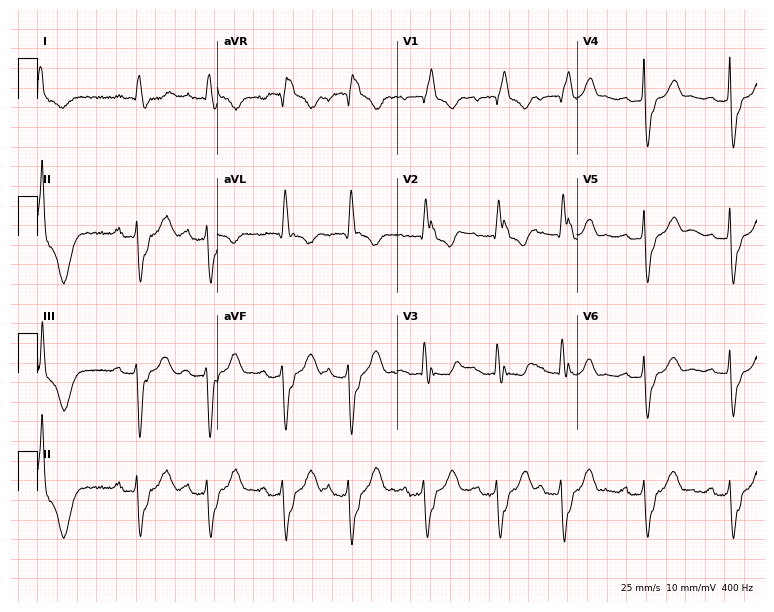
12-lead ECG from a female patient, 83 years old. Shows first-degree AV block, right bundle branch block (RBBB).